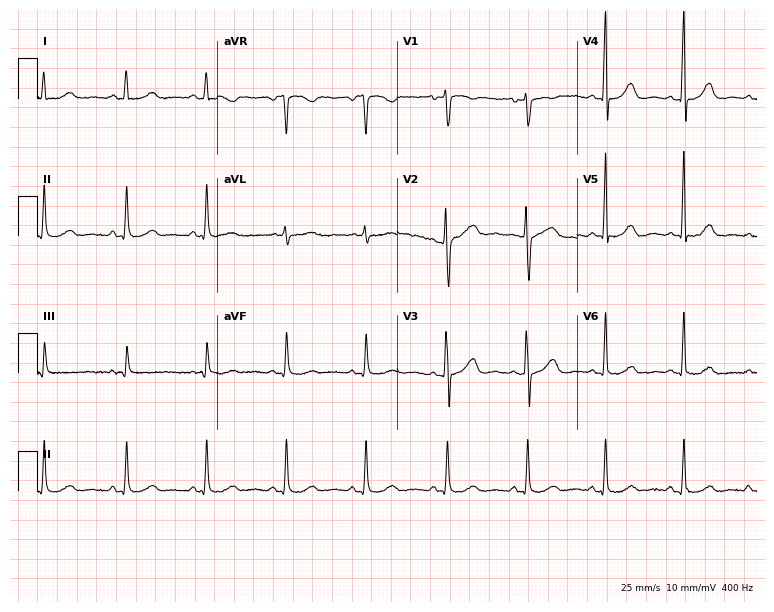
Standard 12-lead ECG recorded from a 44-year-old female (7.3-second recording at 400 Hz). Read as a normal ECG.